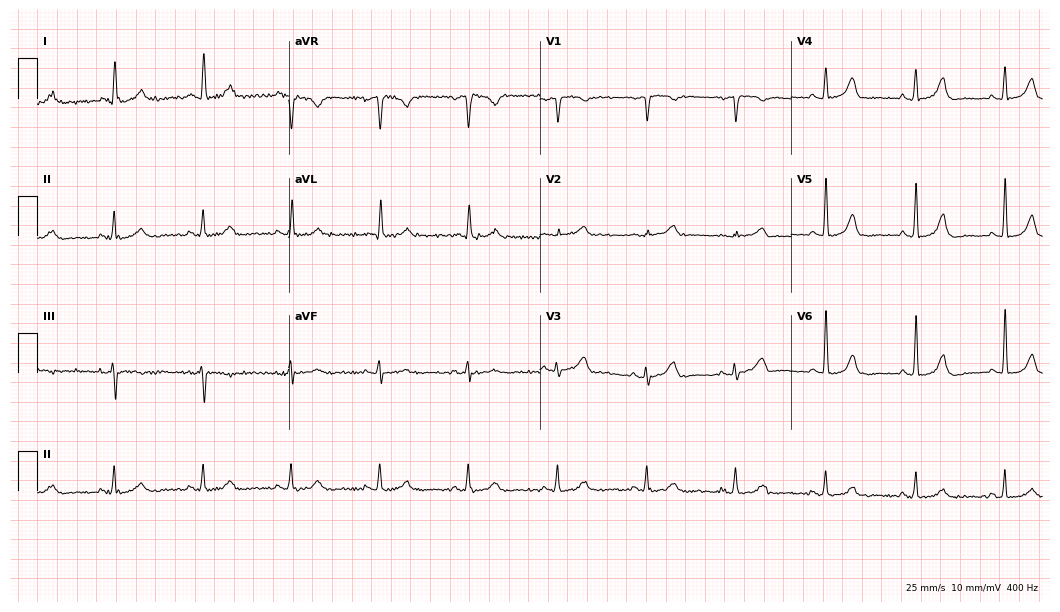
Resting 12-lead electrocardiogram (10.2-second recording at 400 Hz). Patient: an 82-year-old woman. Read as a normal ECG.